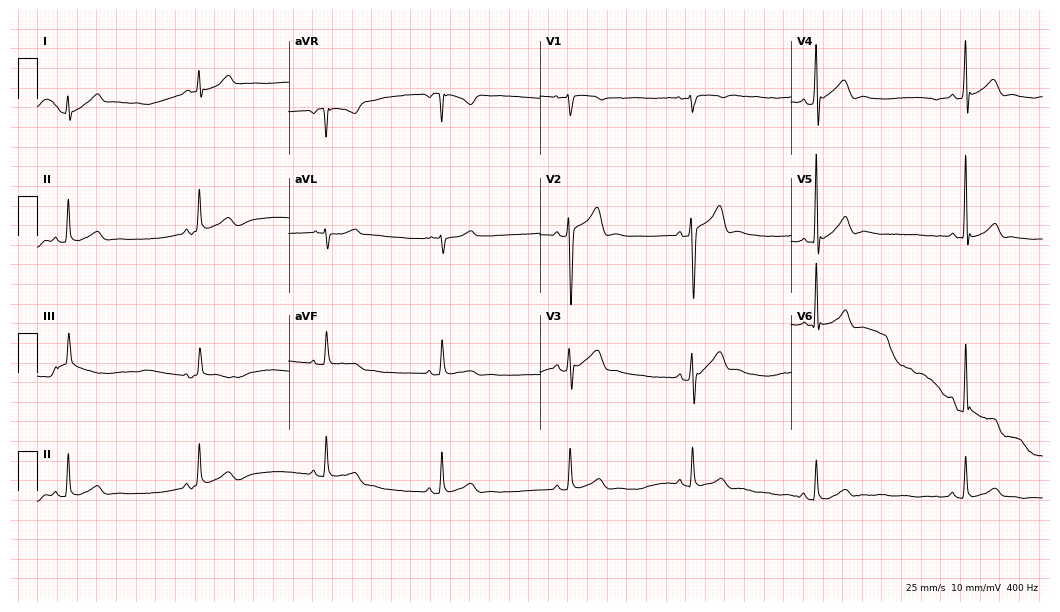
Standard 12-lead ECG recorded from a man, 36 years old. The tracing shows sinus bradycardia (a sinus rate of 50 beats per minute or less).